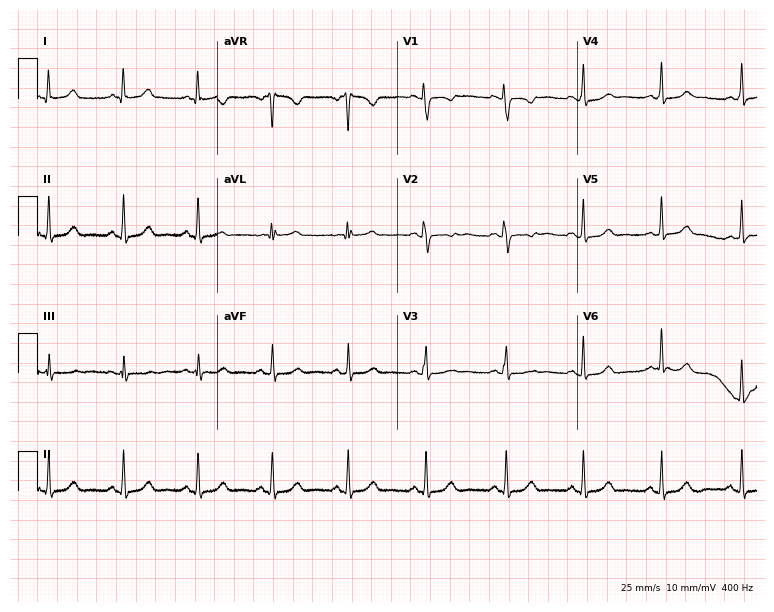
Standard 12-lead ECG recorded from a female patient, 20 years old (7.3-second recording at 400 Hz). Read as a normal ECG.